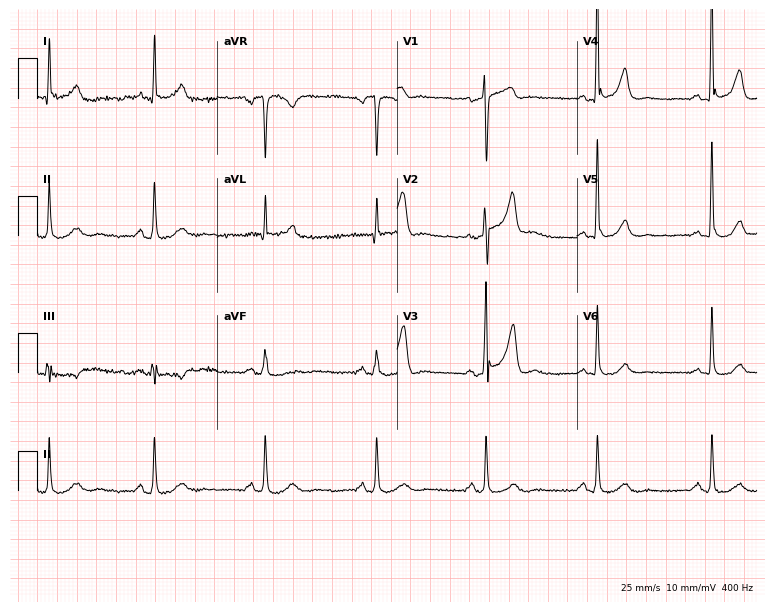
ECG — a 66-year-old man. Screened for six findings — first-degree AV block, right bundle branch block (RBBB), left bundle branch block (LBBB), sinus bradycardia, atrial fibrillation (AF), sinus tachycardia — none is recorded. Other findings, if any, are not listed.